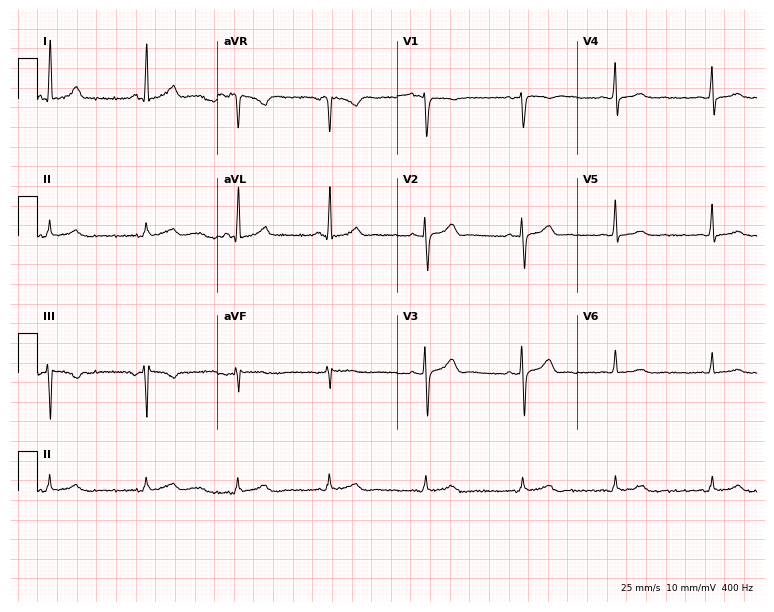
12-lead ECG from a 51-year-old woman (7.3-second recording at 400 Hz). Recorded interpretation: within normal limits.